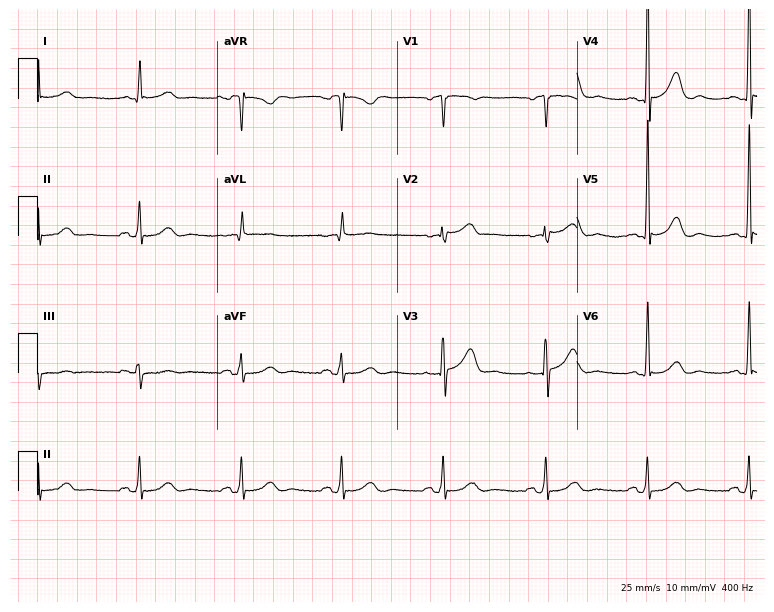
Standard 12-lead ECG recorded from a male, 60 years old. None of these six findings is recorded: first-degree AV block, right bundle branch block, left bundle branch block, sinus bradycardia, atrial fibrillation, sinus tachycardia.